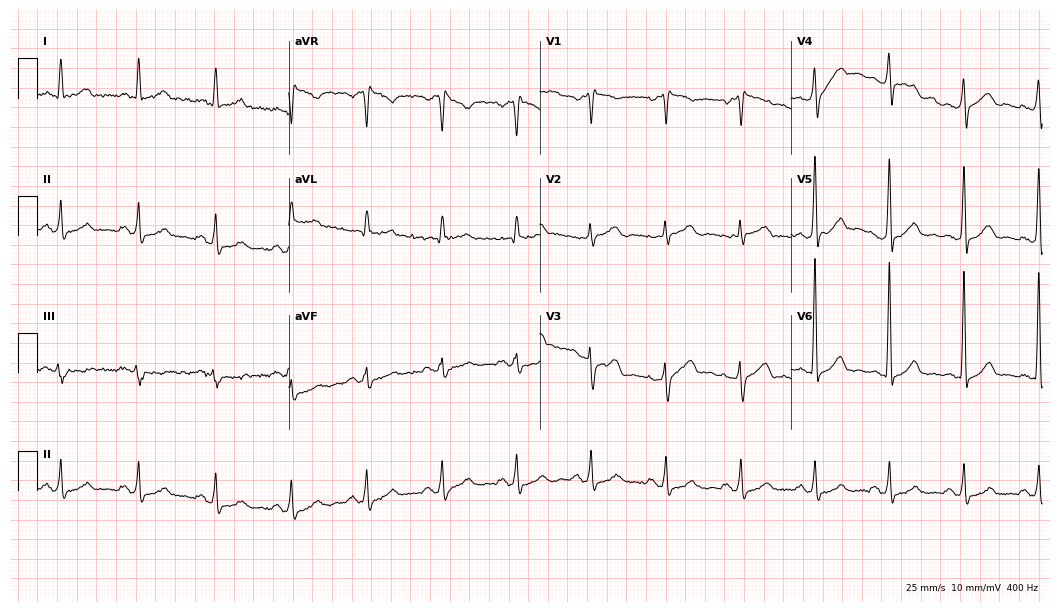
ECG — a 58-year-old male. Screened for six findings — first-degree AV block, right bundle branch block (RBBB), left bundle branch block (LBBB), sinus bradycardia, atrial fibrillation (AF), sinus tachycardia — none is recorded. Other findings, if any, are not listed.